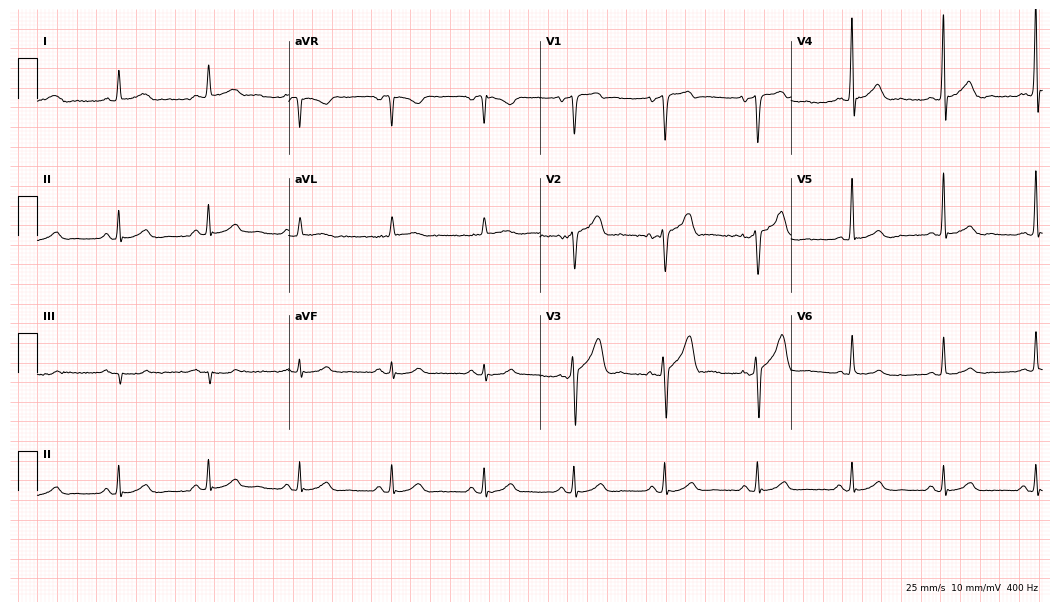
Resting 12-lead electrocardiogram. Patient: a 57-year-old male. None of these six findings is recorded: first-degree AV block, right bundle branch block, left bundle branch block, sinus bradycardia, atrial fibrillation, sinus tachycardia. Findings outside these six are not listed.